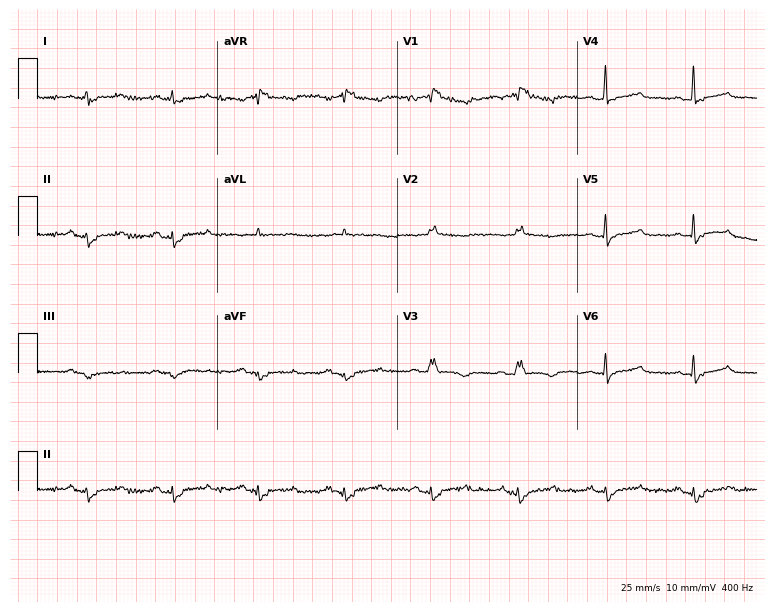
ECG (7.3-second recording at 400 Hz) — a female, 76 years old. Screened for six findings — first-degree AV block, right bundle branch block (RBBB), left bundle branch block (LBBB), sinus bradycardia, atrial fibrillation (AF), sinus tachycardia — none is recorded. Only these six findings were labelled.